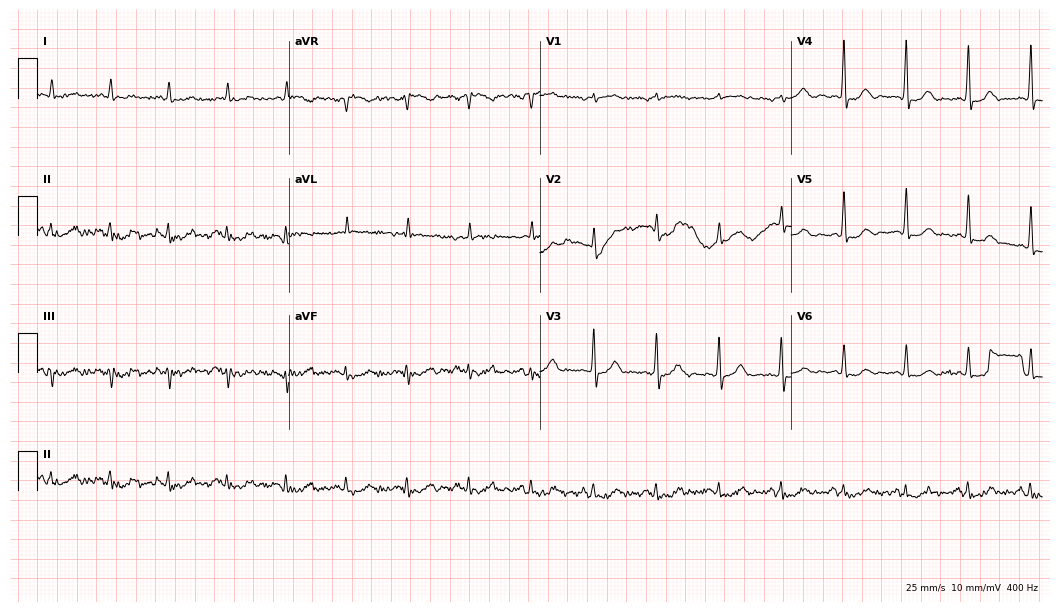
Resting 12-lead electrocardiogram (10.2-second recording at 400 Hz). Patient: an 84-year-old male. Read as a normal ECG.